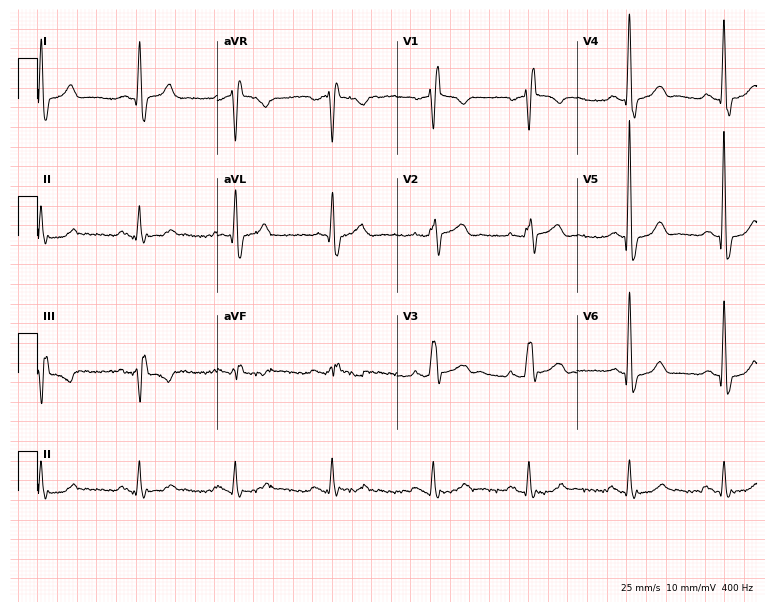
12-lead ECG (7.3-second recording at 400 Hz) from a 71-year-old male. Findings include right bundle branch block.